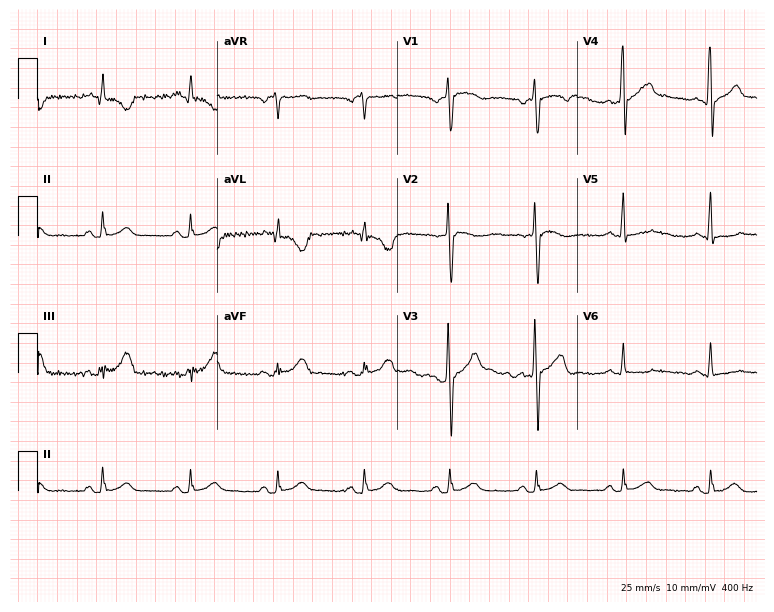
Resting 12-lead electrocardiogram. Patient: a man, 51 years old. None of these six findings is recorded: first-degree AV block, right bundle branch block, left bundle branch block, sinus bradycardia, atrial fibrillation, sinus tachycardia. Only these six findings were labelled.